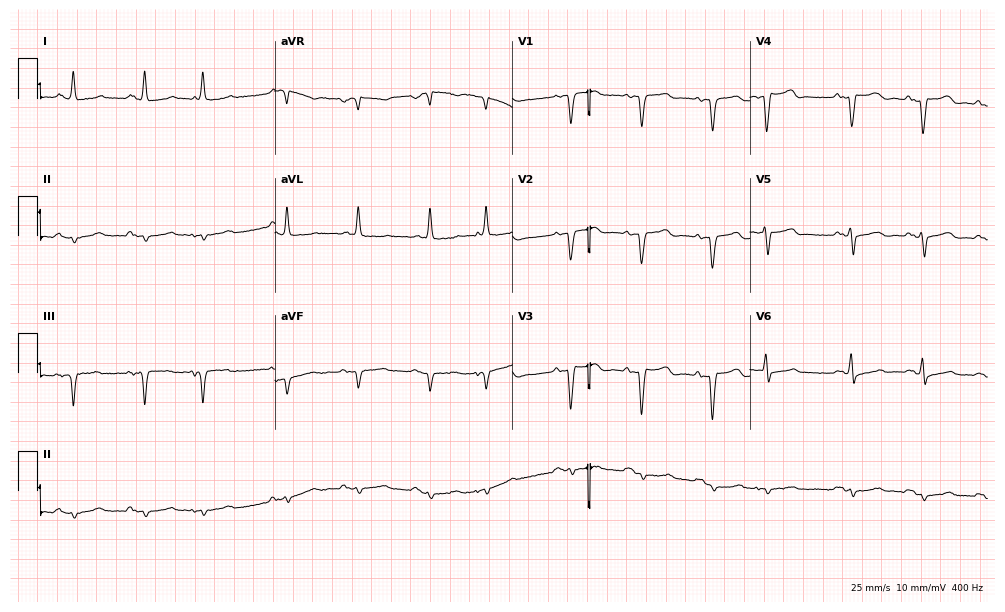
Resting 12-lead electrocardiogram (9.7-second recording at 400 Hz). Patient: a male, 33 years old. None of these six findings is recorded: first-degree AV block, right bundle branch block (RBBB), left bundle branch block (LBBB), sinus bradycardia, atrial fibrillation (AF), sinus tachycardia. Findings outside these six are not listed.